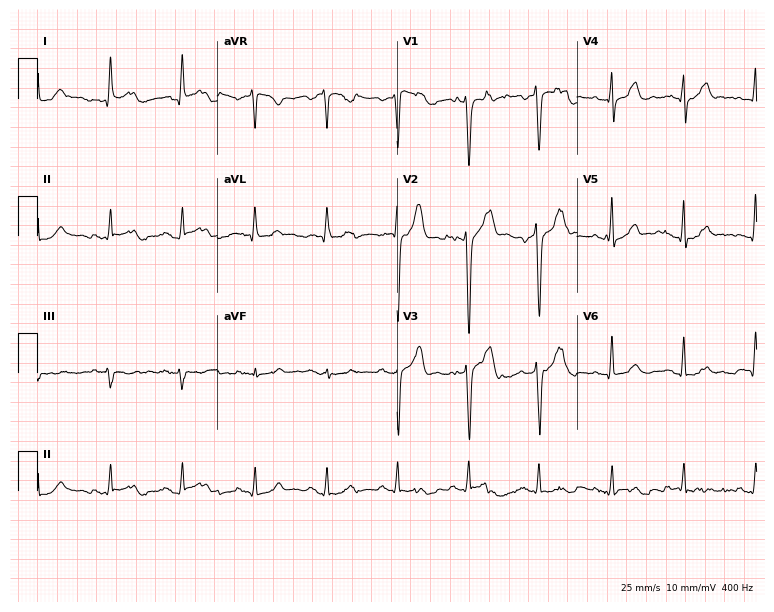
12-lead ECG from a man, 40 years old (7.3-second recording at 400 Hz). Recorded interpretation: within normal limits.